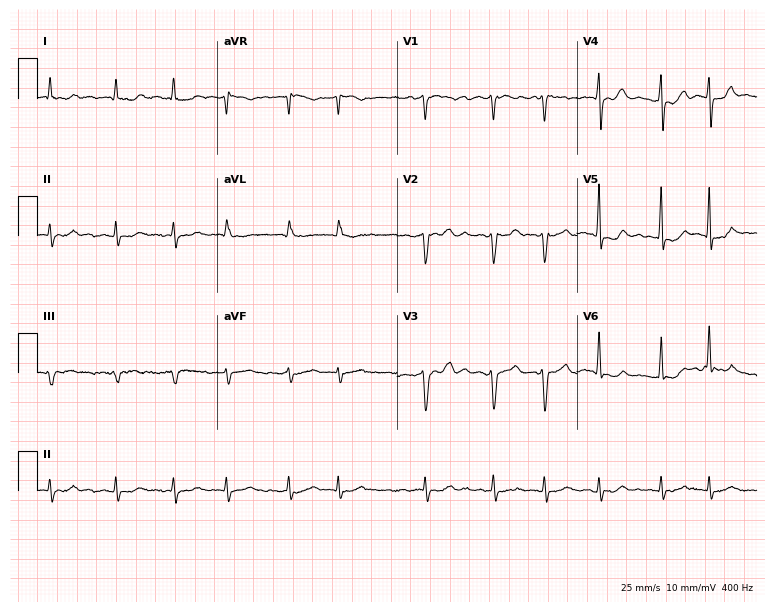
12-lead ECG from a male, 81 years old. Shows atrial fibrillation (AF).